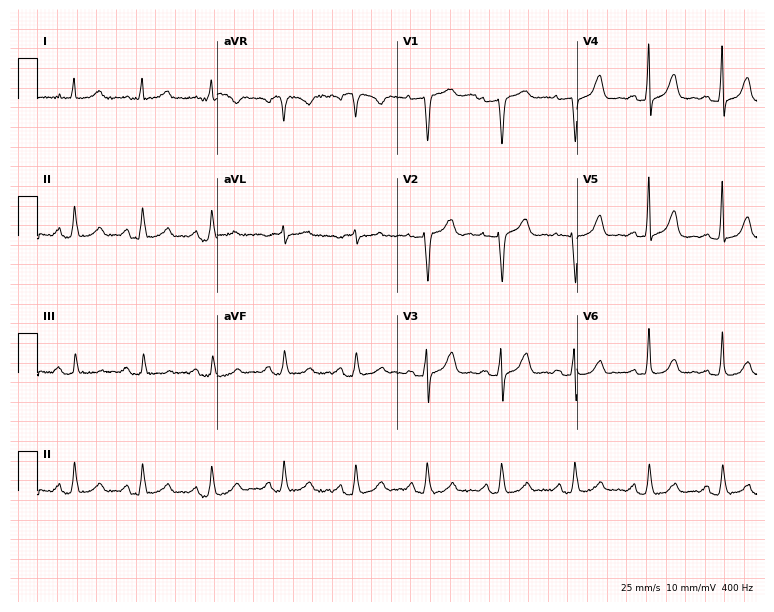
12-lead ECG from a 61-year-old female (7.3-second recording at 400 Hz). Recorded interpretation: within normal limits.